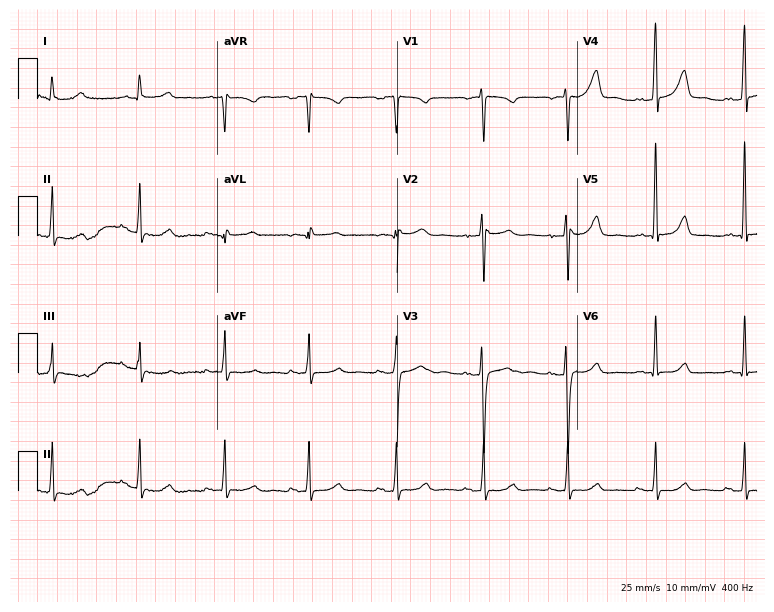
Electrocardiogram (7.3-second recording at 400 Hz), a 44-year-old female. Of the six screened findings (first-degree AV block, right bundle branch block, left bundle branch block, sinus bradycardia, atrial fibrillation, sinus tachycardia), none is recorded.